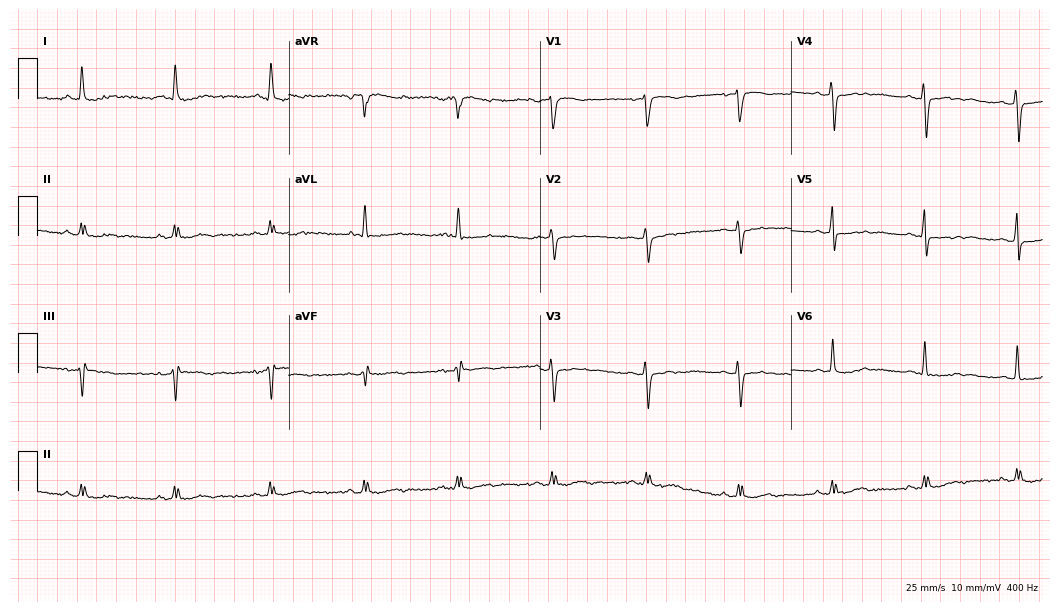
Electrocardiogram, a female patient, 75 years old. Of the six screened findings (first-degree AV block, right bundle branch block, left bundle branch block, sinus bradycardia, atrial fibrillation, sinus tachycardia), none is recorded. Only these six findings were labelled.